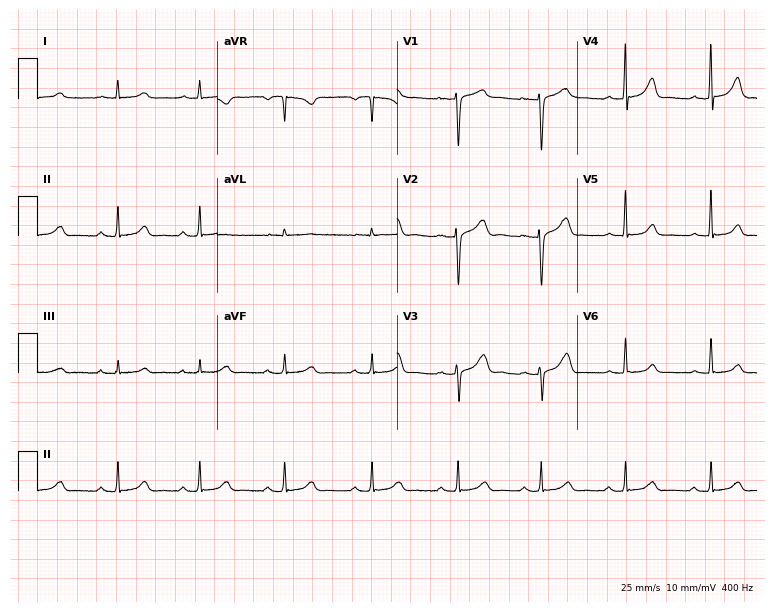
ECG — a female patient, 49 years old. Screened for six findings — first-degree AV block, right bundle branch block (RBBB), left bundle branch block (LBBB), sinus bradycardia, atrial fibrillation (AF), sinus tachycardia — none is recorded.